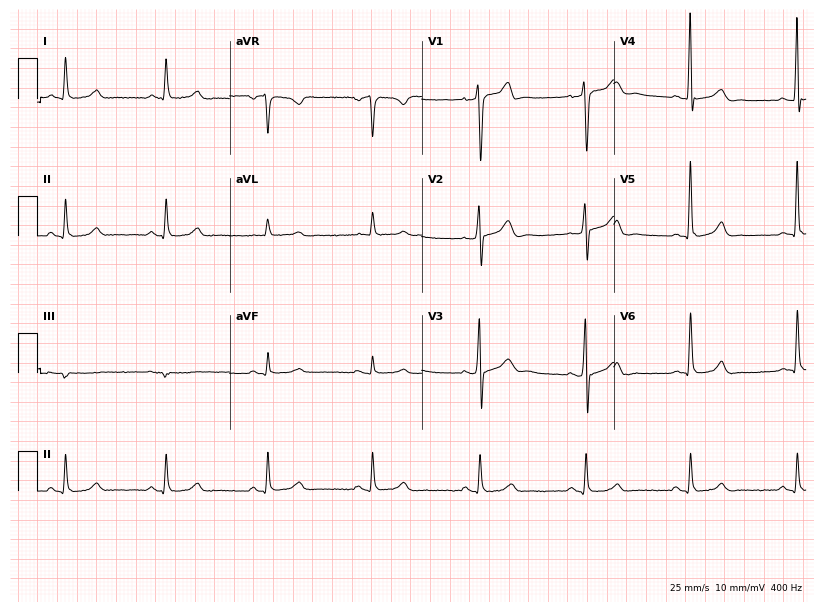
12-lead ECG from a male patient, 62 years old. Labelled as a normal ECG.